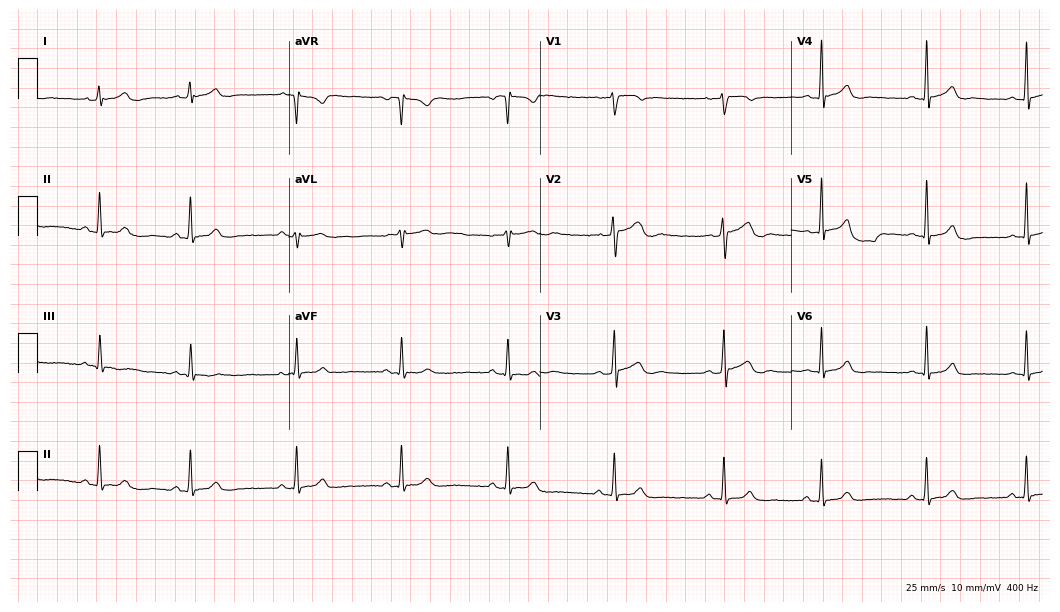
12-lead ECG from a man, 20 years old. Labelled as a normal ECG.